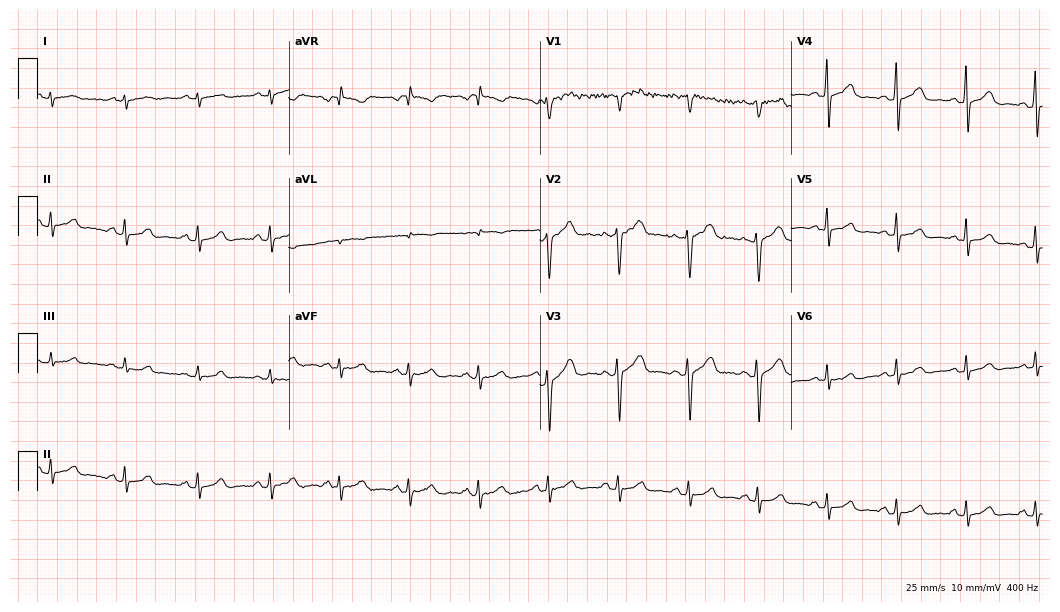
Resting 12-lead electrocardiogram (10.2-second recording at 400 Hz). Patient: a woman, 28 years old. Read as a normal ECG.